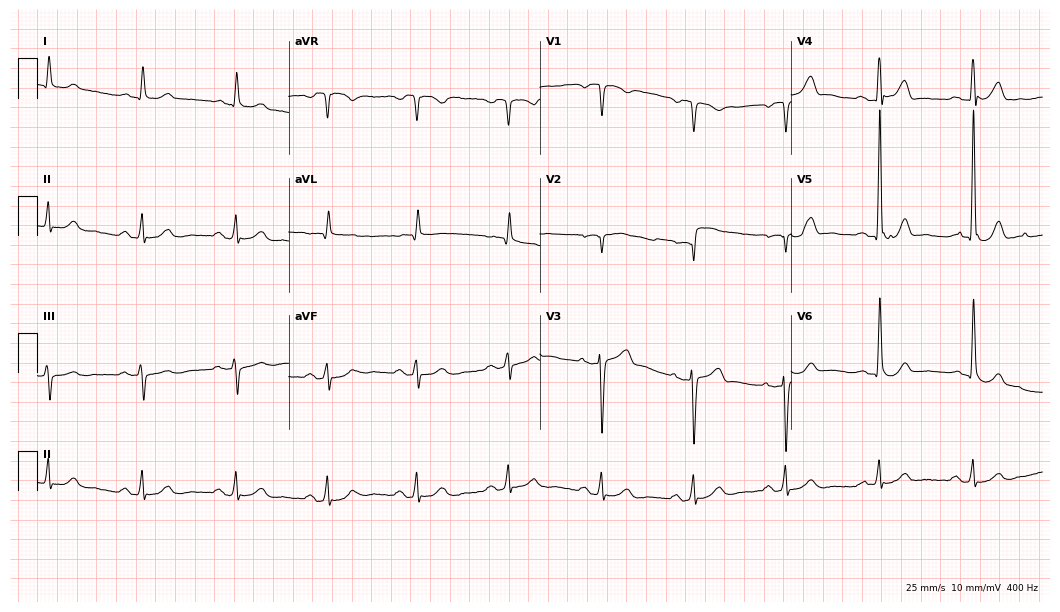
Resting 12-lead electrocardiogram. Patient: a 59-year-old male. None of these six findings is recorded: first-degree AV block, right bundle branch block, left bundle branch block, sinus bradycardia, atrial fibrillation, sinus tachycardia. Other findings, if any, are not listed.